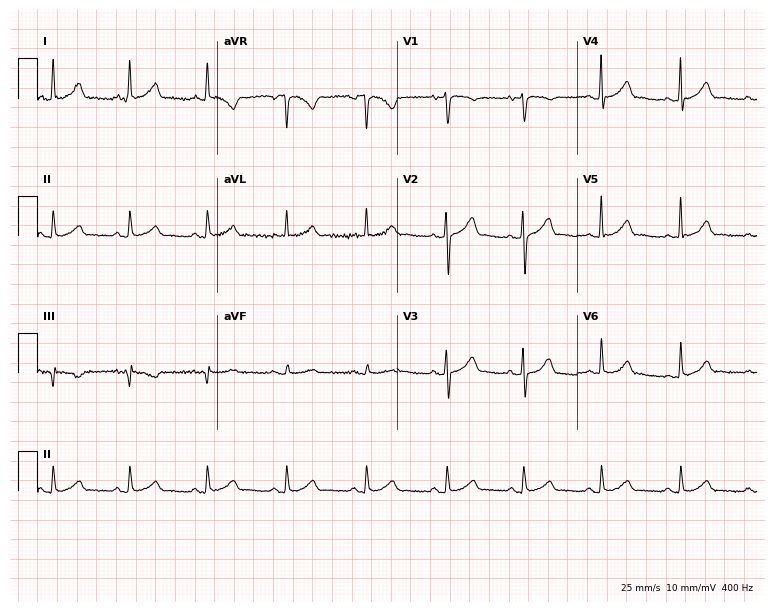
12-lead ECG from a 53-year-old female. Screened for six findings — first-degree AV block, right bundle branch block (RBBB), left bundle branch block (LBBB), sinus bradycardia, atrial fibrillation (AF), sinus tachycardia — none is recorded. Other findings, if any, are not listed.